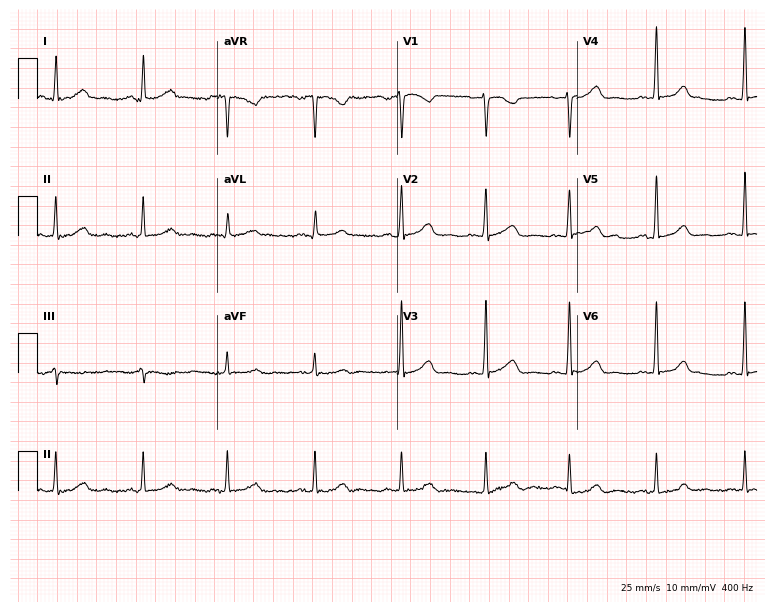
Resting 12-lead electrocardiogram (7.3-second recording at 400 Hz). Patient: a female, 43 years old. None of these six findings is recorded: first-degree AV block, right bundle branch block, left bundle branch block, sinus bradycardia, atrial fibrillation, sinus tachycardia.